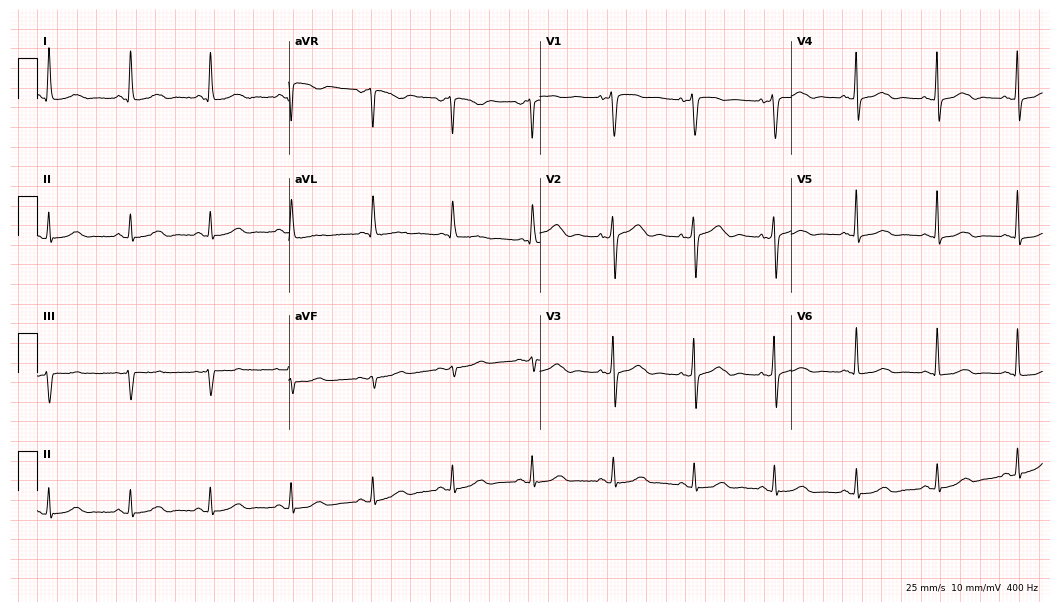
Resting 12-lead electrocardiogram. Patient: a female, 61 years old. None of these six findings is recorded: first-degree AV block, right bundle branch block, left bundle branch block, sinus bradycardia, atrial fibrillation, sinus tachycardia. Only these six findings were labelled.